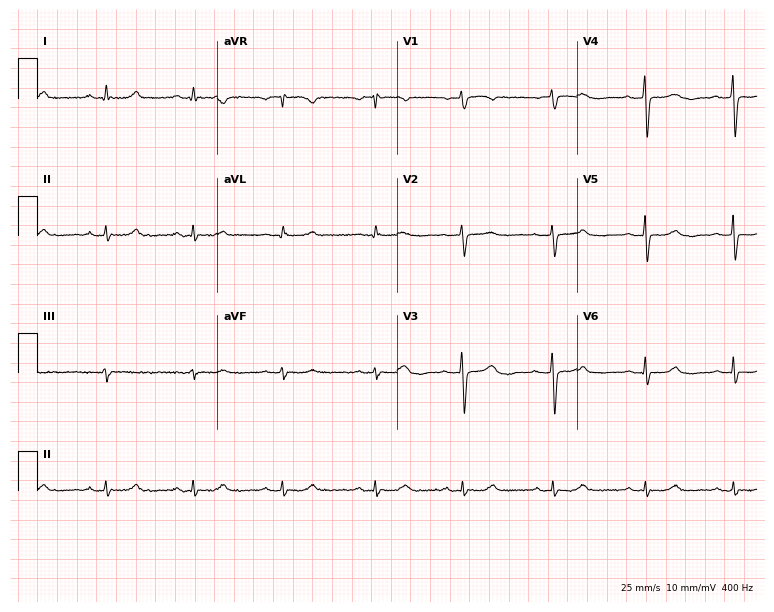
Standard 12-lead ECG recorded from a 62-year-old woman. Read as a normal ECG.